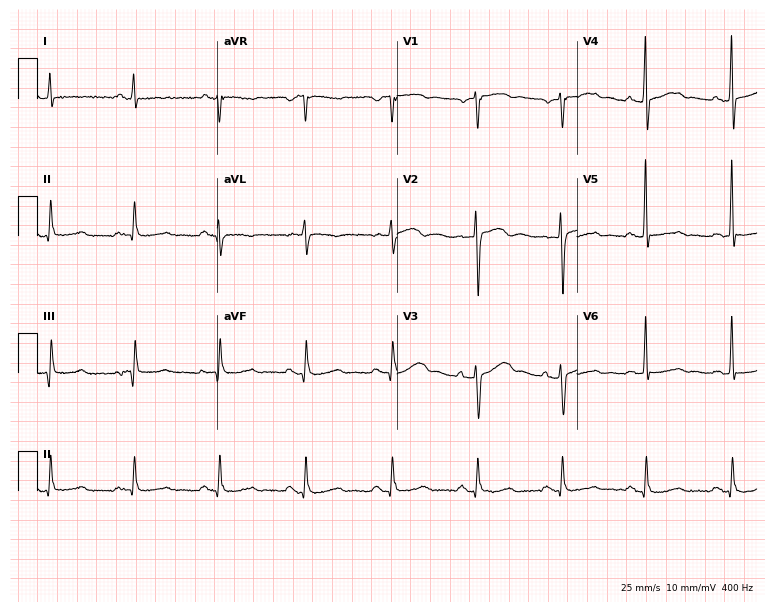
12-lead ECG from a 73-year-old male. Screened for six findings — first-degree AV block, right bundle branch block, left bundle branch block, sinus bradycardia, atrial fibrillation, sinus tachycardia — none is recorded.